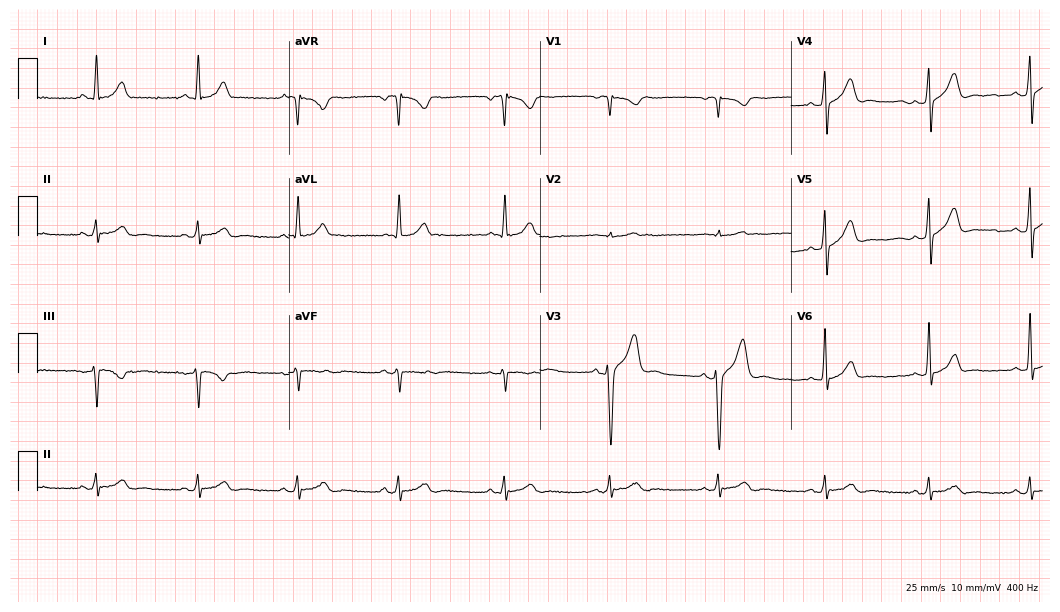
12-lead ECG from a 41-year-old male patient (10.2-second recording at 400 Hz). Recorded interpretation: within normal limits.